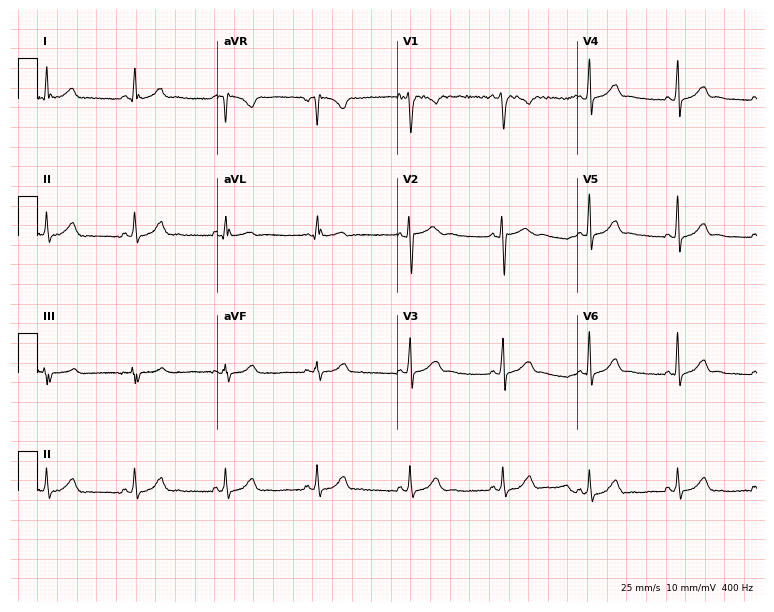
Resting 12-lead electrocardiogram (7.3-second recording at 400 Hz). Patient: a male, 29 years old. None of these six findings is recorded: first-degree AV block, right bundle branch block, left bundle branch block, sinus bradycardia, atrial fibrillation, sinus tachycardia.